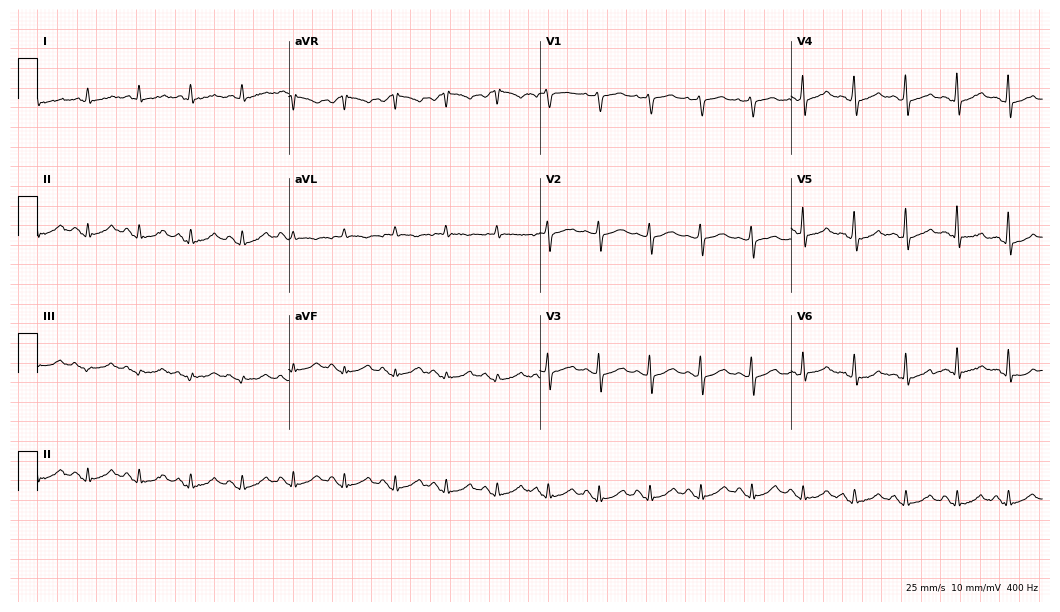
Resting 12-lead electrocardiogram (10.2-second recording at 400 Hz). Patient: a 70-year-old man. The tracing shows sinus tachycardia (a sinus rate of 100 beats per minute or more).